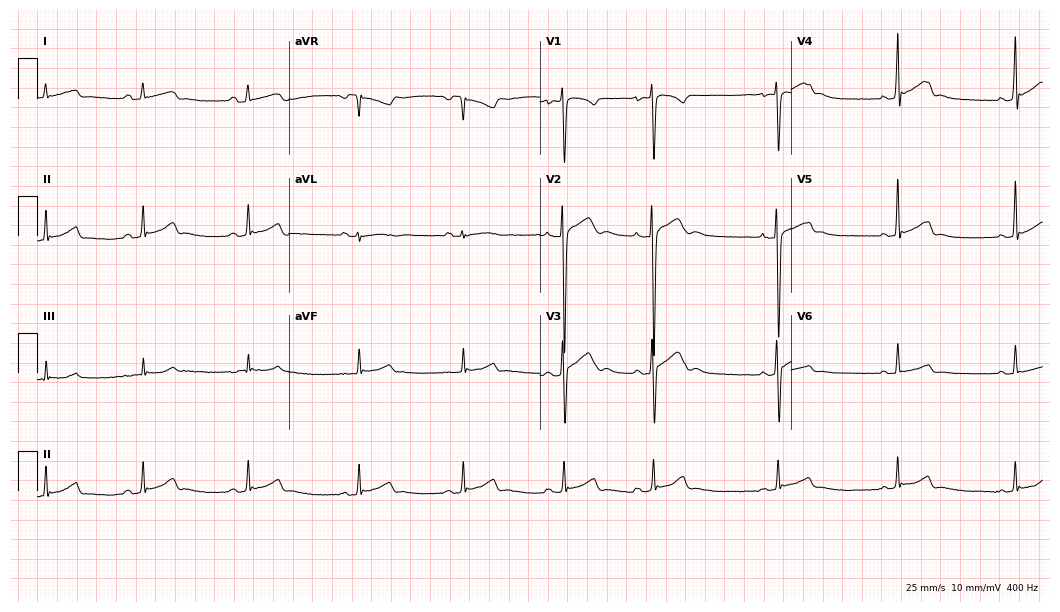
Electrocardiogram, an 18-year-old male. Of the six screened findings (first-degree AV block, right bundle branch block, left bundle branch block, sinus bradycardia, atrial fibrillation, sinus tachycardia), none is recorded.